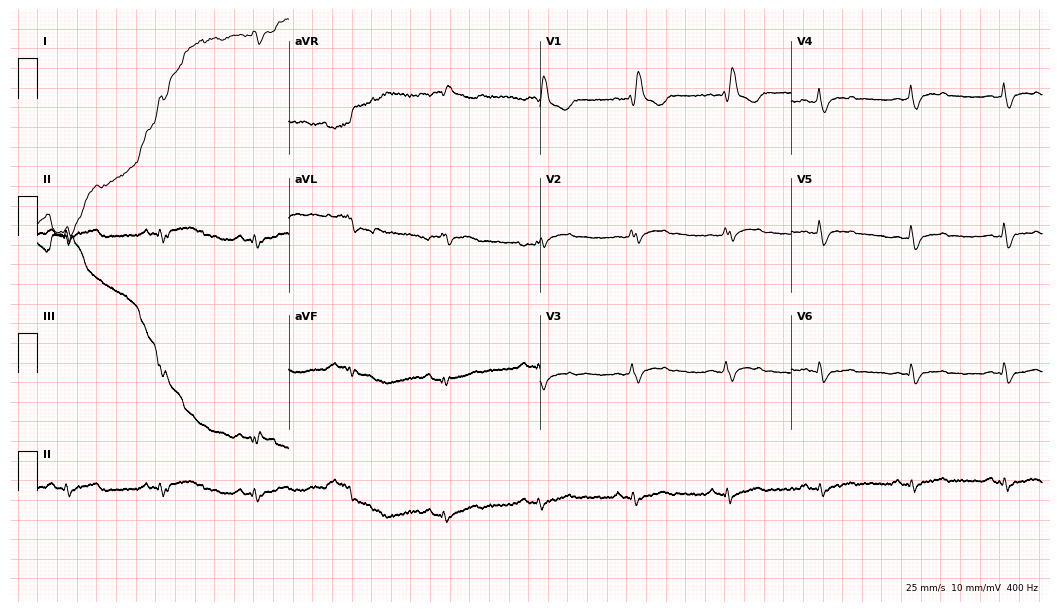
Electrocardiogram (10.2-second recording at 400 Hz), a 59-year-old man. Interpretation includes right bundle branch block (RBBB).